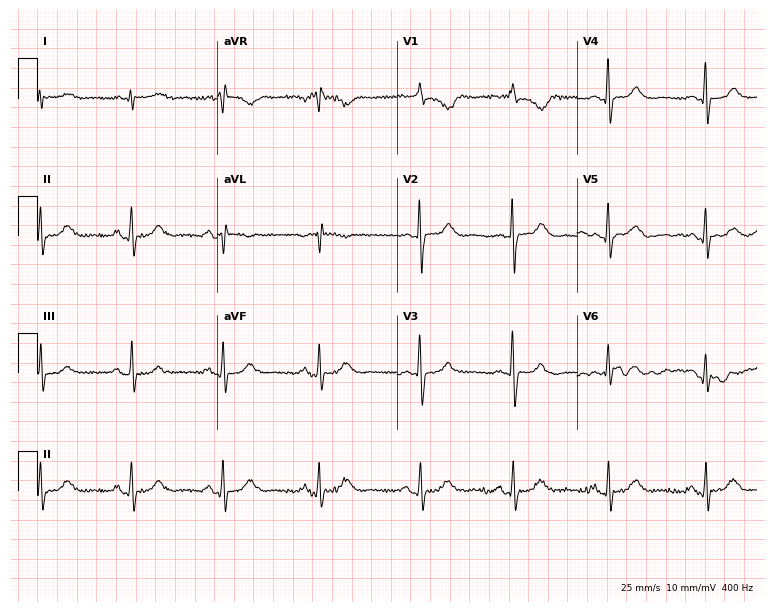
Electrocardiogram, a 76-year-old female. Overall reading on record: normal ECG.